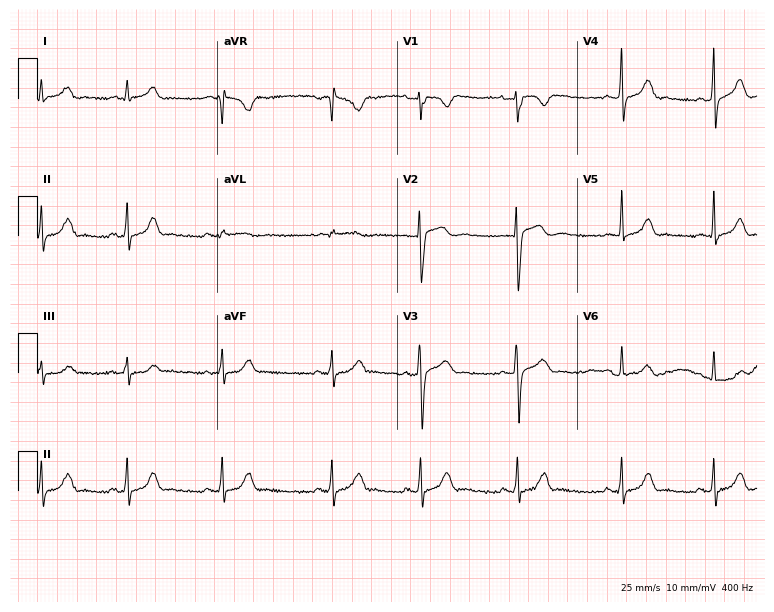
12-lead ECG from a male patient, 21 years old. Labelled as a normal ECG.